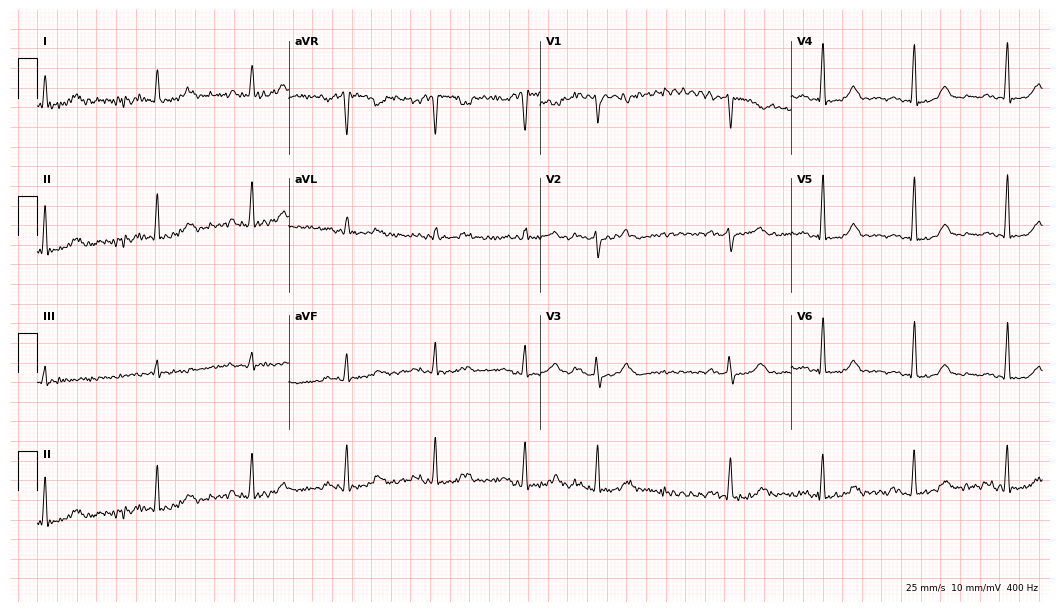
Resting 12-lead electrocardiogram (10.2-second recording at 400 Hz). Patient: a 48-year-old woman. None of these six findings is recorded: first-degree AV block, right bundle branch block (RBBB), left bundle branch block (LBBB), sinus bradycardia, atrial fibrillation (AF), sinus tachycardia. Findings outside these six are not listed.